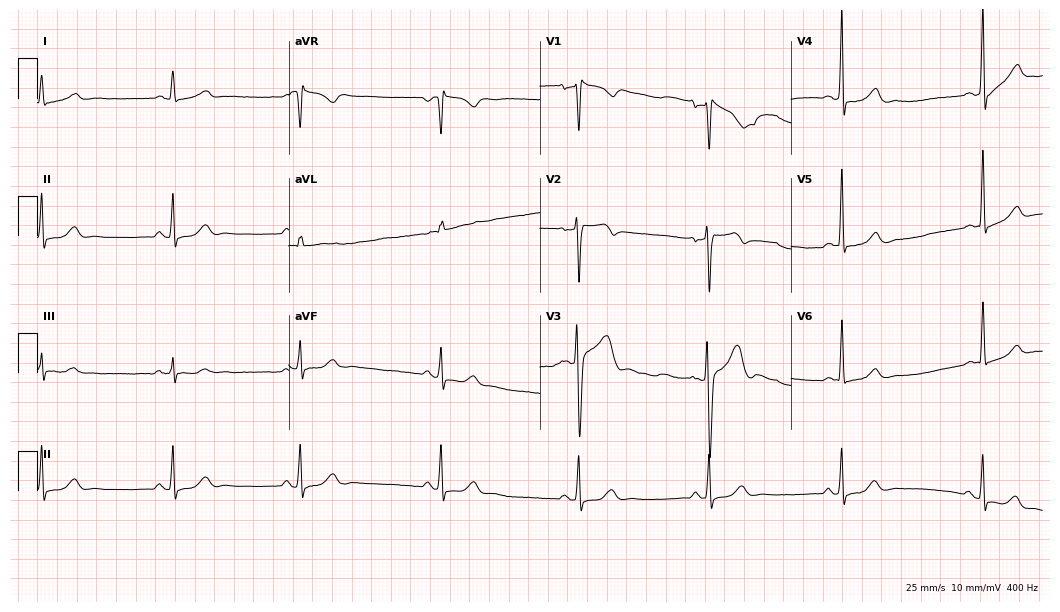
Resting 12-lead electrocardiogram. Patient: a 44-year-old man. The tracing shows sinus bradycardia (a sinus rate of 50 beats per minute or less).